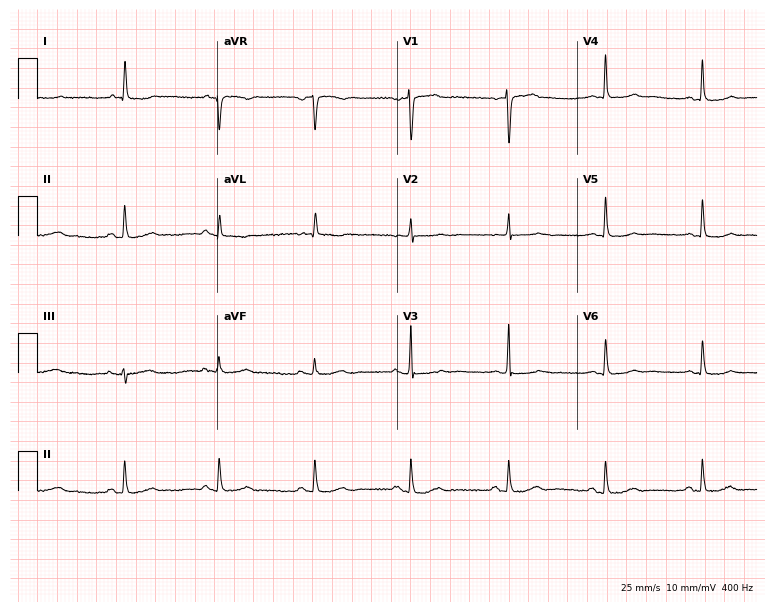
Resting 12-lead electrocardiogram (7.3-second recording at 400 Hz). Patient: an 85-year-old female. None of these six findings is recorded: first-degree AV block, right bundle branch block (RBBB), left bundle branch block (LBBB), sinus bradycardia, atrial fibrillation (AF), sinus tachycardia.